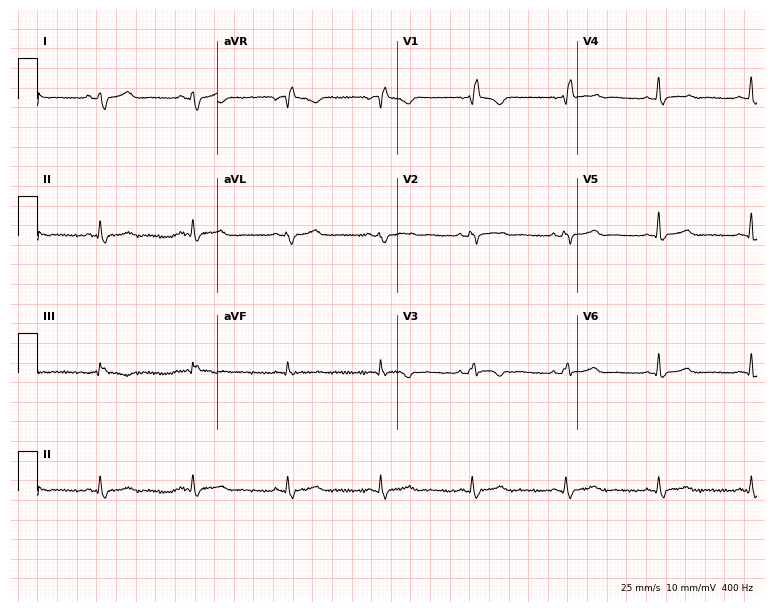
12-lead ECG from a 28-year-old female patient (7.3-second recording at 400 Hz). Shows right bundle branch block.